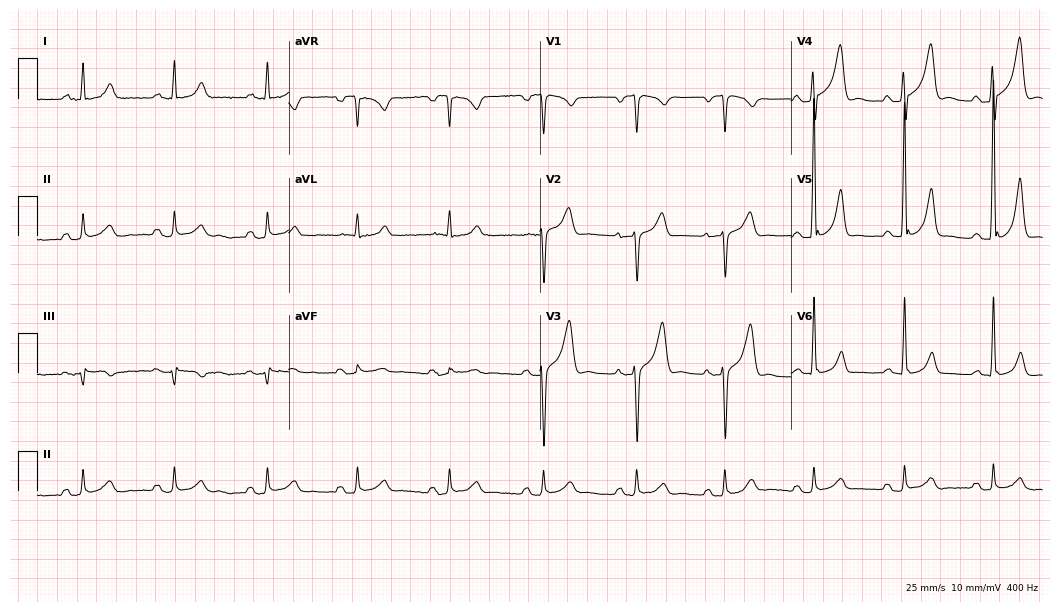
Standard 12-lead ECG recorded from a male patient, 40 years old (10.2-second recording at 400 Hz). None of these six findings is recorded: first-degree AV block, right bundle branch block (RBBB), left bundle branch block (LBBB), sinus bradycardia, atrial fibrillation (AF), sinus tachycardia.